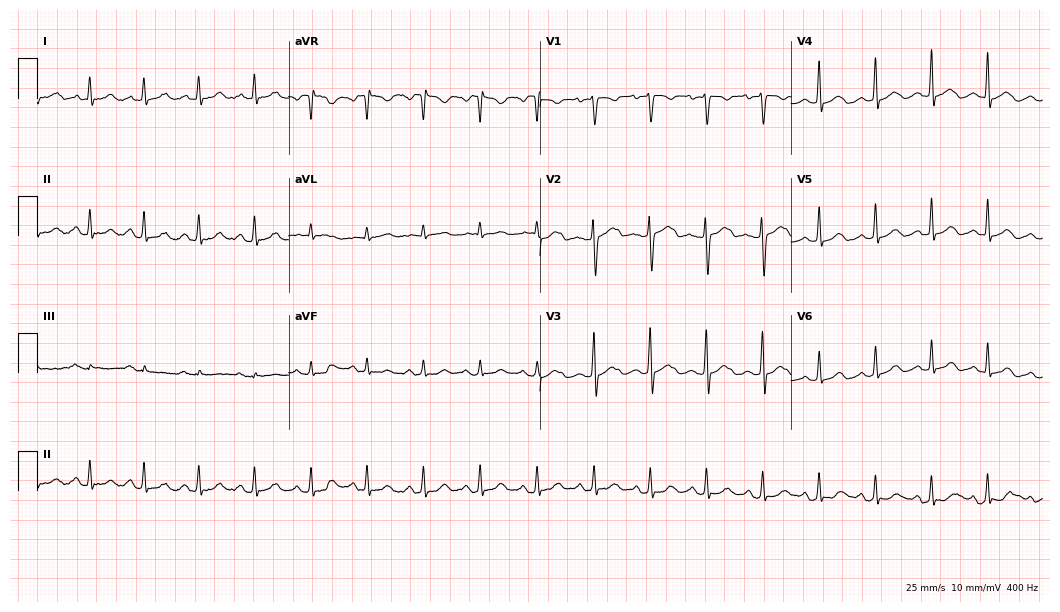
12-lead ECG (10.2-second recording at 400 Hz) from a 32-year-old female patient. Screened for six findings — first-degree AV block, right bundle branch block, left bundle branch block, sinus bradycardia, atrial fibrillation, sinus tachycardia — none is recorded. Other findings, if any, are not listed.